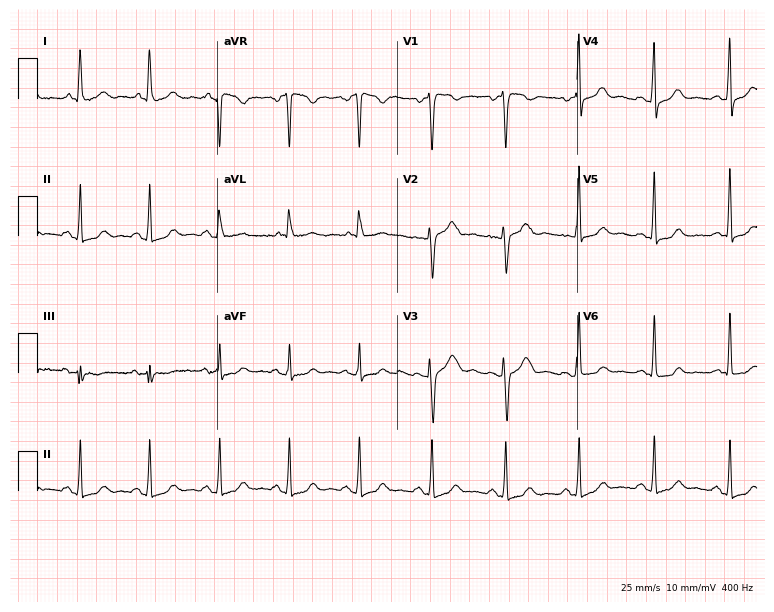
12-lead ECG from a 42-year-old woman (7.3-second recording at 400 Hz). Recorded interpretation: within normal limits.